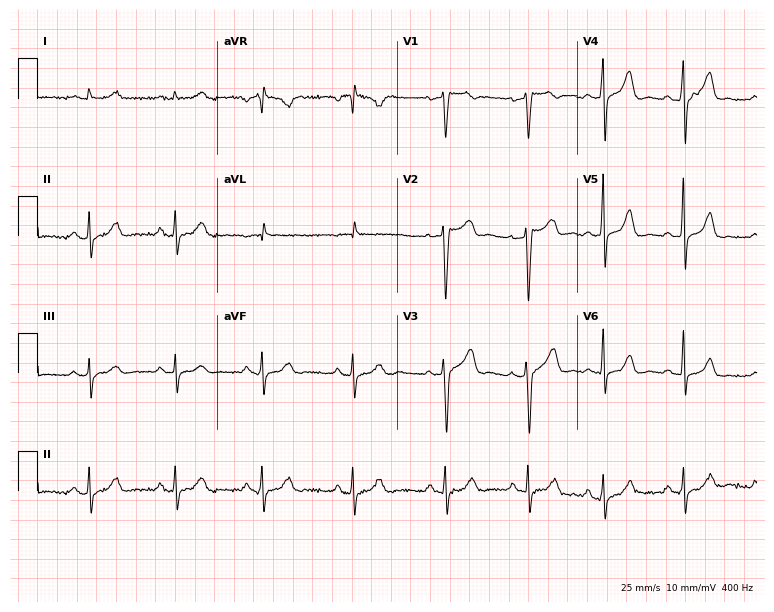
Electrocardiogram (7.3-second recording at 400 Hz), a man, 41 years old. Of the six screened findings (first-degree AV block, right bundle branch block, left bundle branch block, sinus bradycardia, atrial fibrillation, sinus tachycardia), none is recorded.